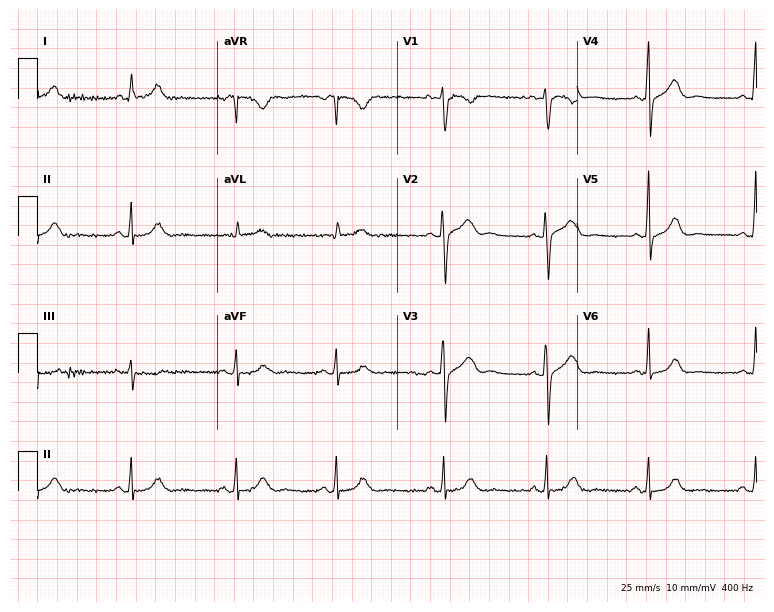
Electrocardiogram (7.3-second recording at 400 Hz), a female, 34 years old. Of the six screened findings (first-degree AV block, right bundle branch block (RBBB), left bundle branch block (LBBB), sinus bradycardia, atrial fibrillation (AF), sinus tachycardia), none is recorded.